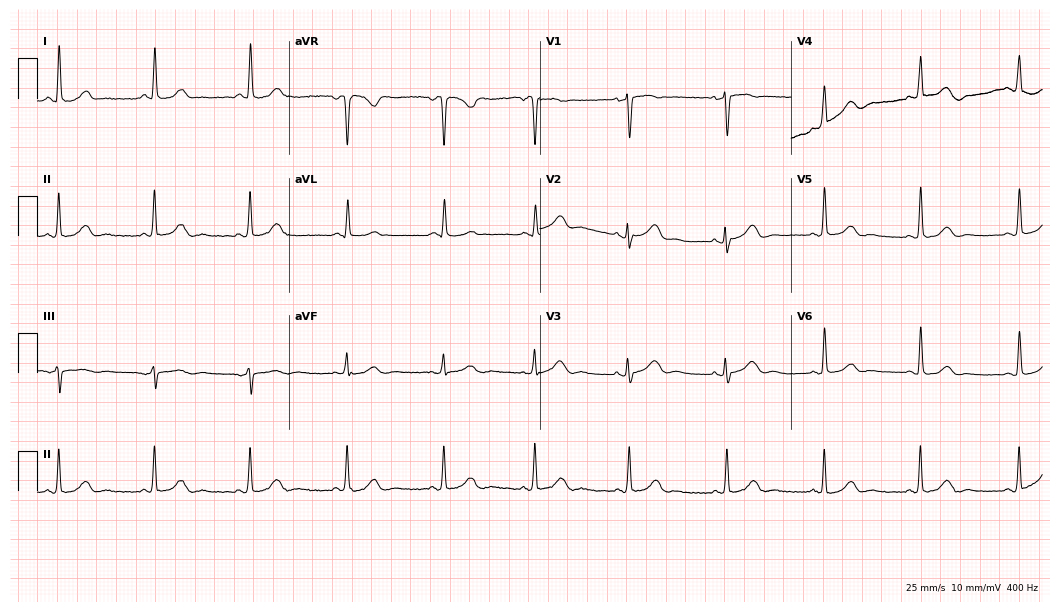
Resting 12-lead electrocardiogram (10.2-second recording at 400 Hz). Patient: a 62-year-old female. None of these six findings is recorded: first-degree AV block, right bundle branch block (RBBB), left bundle branch block (LBBB), sinus bradycardia, atrial fibrillation (AF), sinus tachycardia.